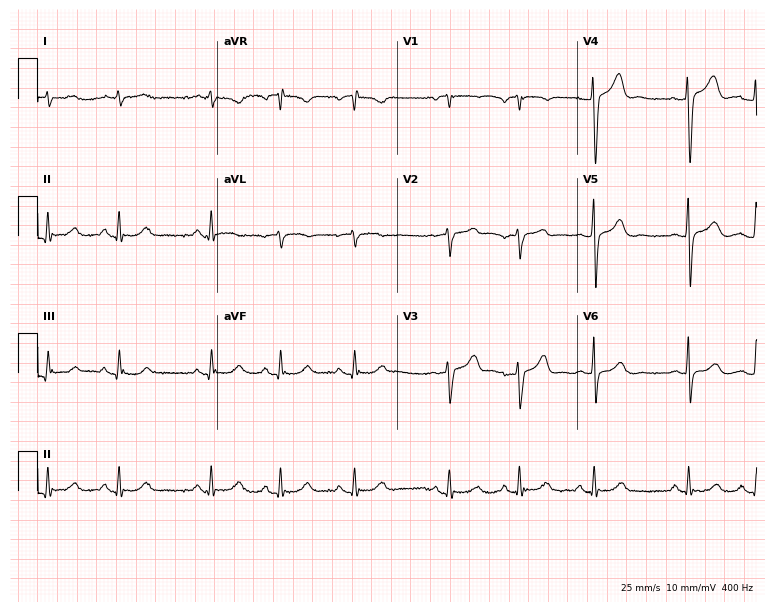
12-lead ECG (7.3-second recording at 400 Hz) from a man, 74 years old. Labelled as a normal ECG.